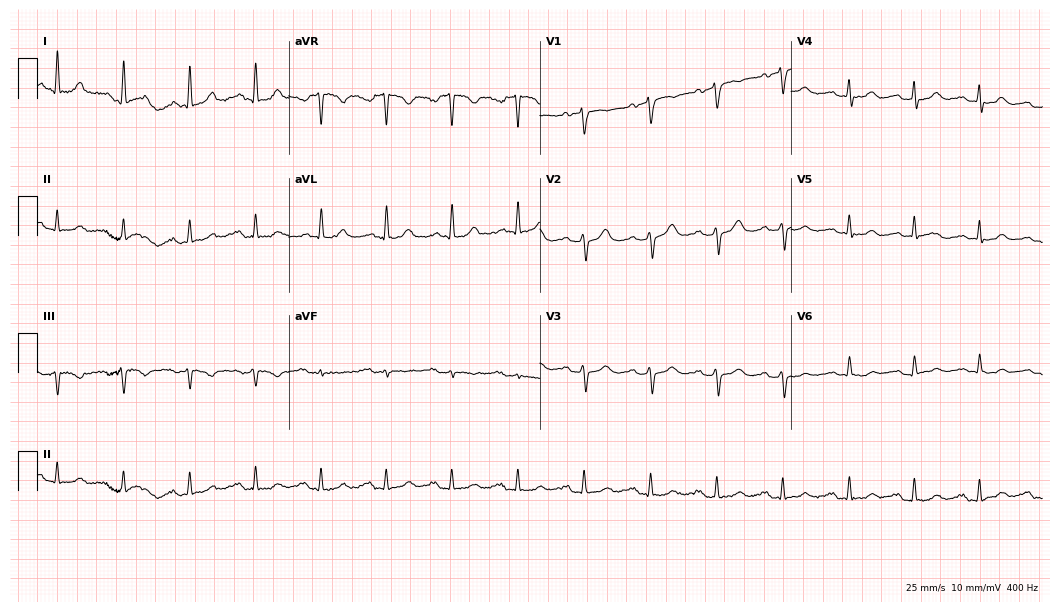
12-lead ECG from a female, 70 years old (10.2-second recording at 400 Hz). No first-degree AV block, right bundle branch block, left bundle branch block, sinus bradycardia, atrial fibrillation or sinus tachycardia recorded for this tracing.